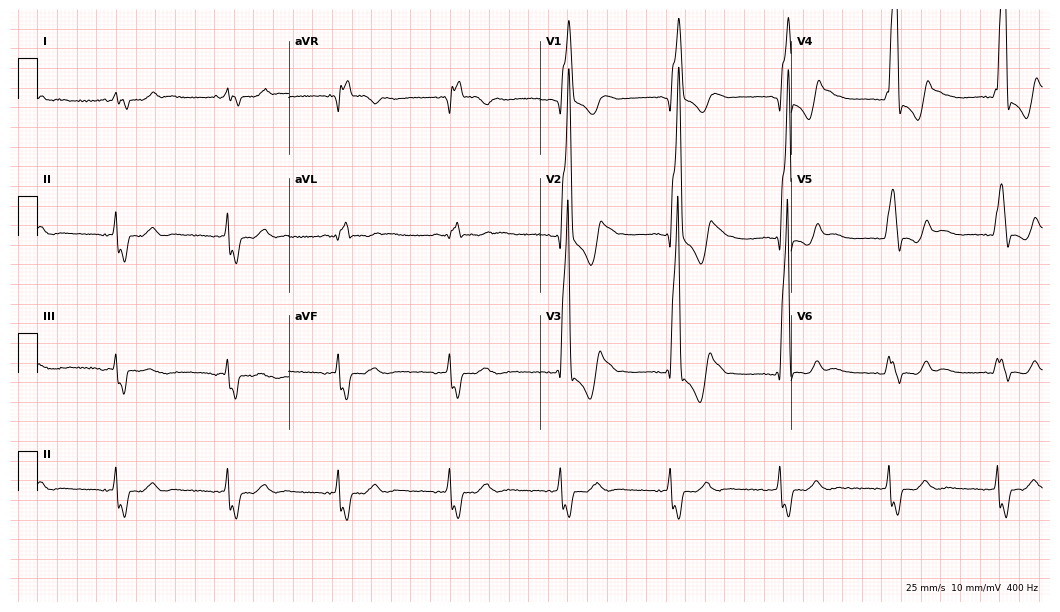
ECG (10.2-second recording at 400 Hz) — a 27-year-old male. Findings include right bundle branch block (RBBB).